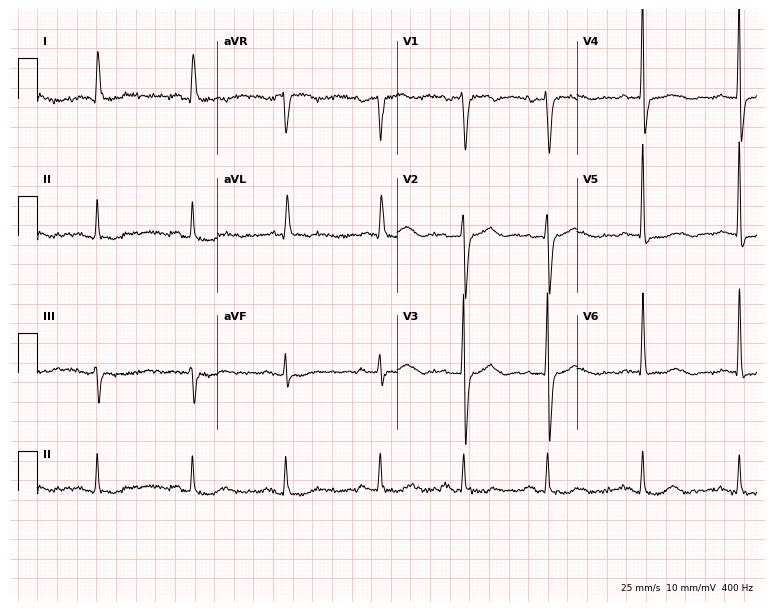
Standard 12-lead ECG recorded from a woman, 81 years old (7.3-second recording at 400 Hz). None of these six findings is recorded: first-degree AV block, right bundle branch block (RBBB), left bundle branch block (LBBB), sinus bradycardia, atrial fibrillation (AF), sinus tachycardia.